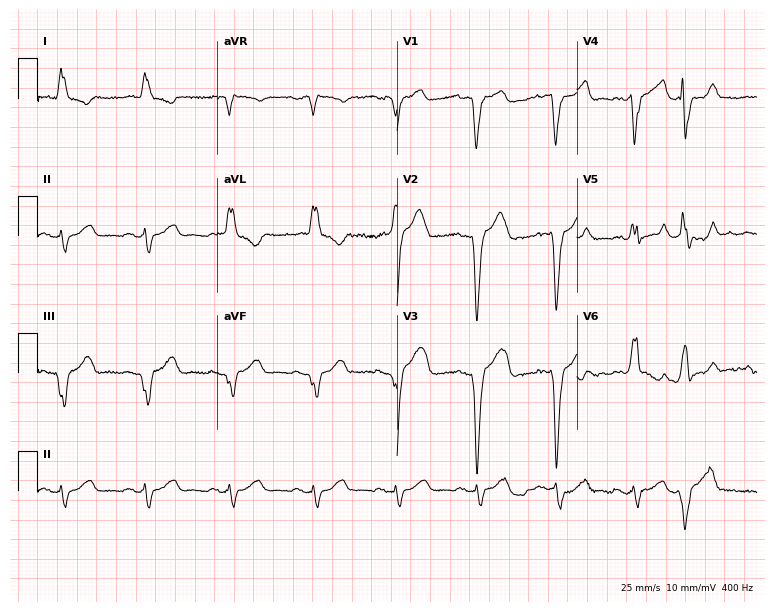
Resting 12-lead electrocardiogram. Patient: a man, 80 years old. The tracing shows left bundle branch block.